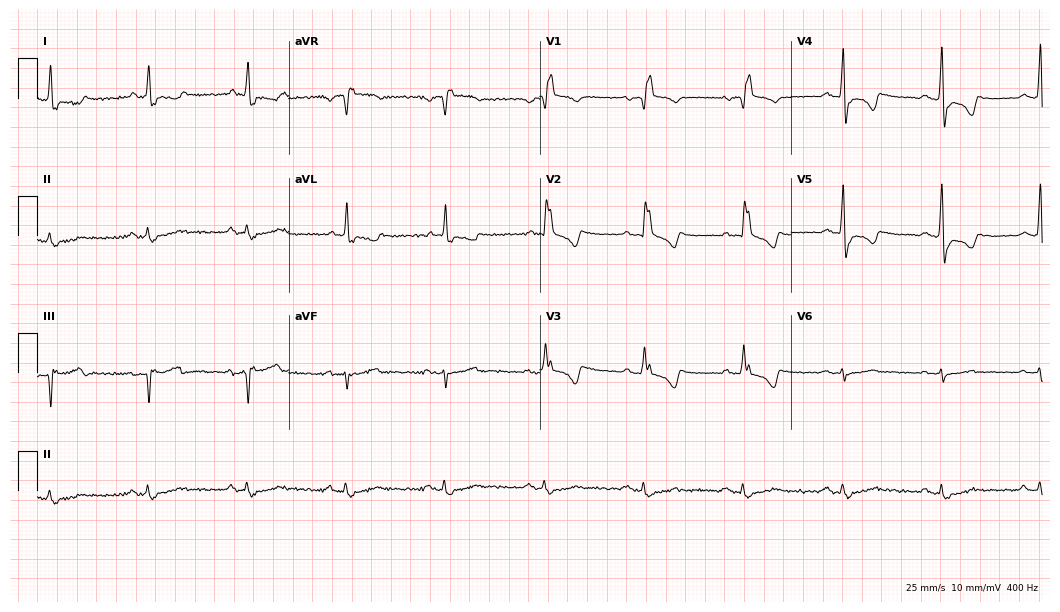
Electrocardiogram, a 67-year-old male. Interpretation includes right bundle branch block.